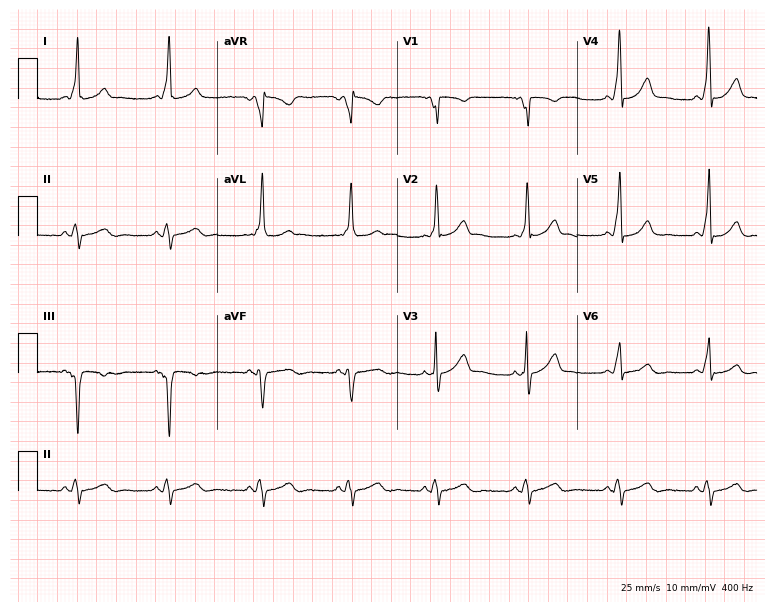
ECG — a woman, 29 years old. Screened for six findings — first-degree AV block, right bundle branch block, left bundle branch block, sinus bradycardia, atrial fibrillation, sinus tachycardia — none is recorded.